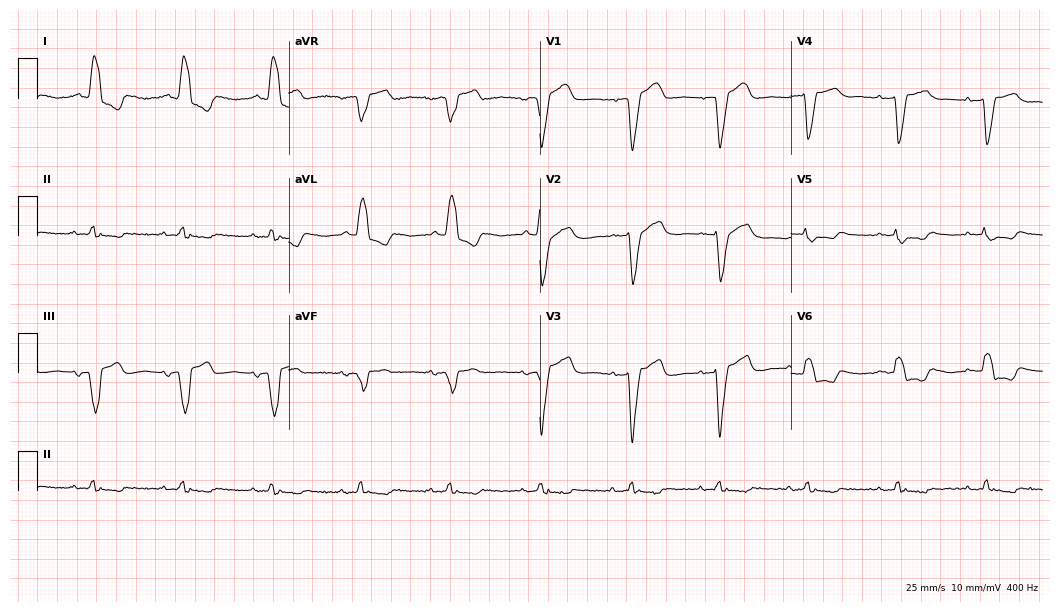
12-lead ECG from a male patient, 80 years old. Findings include left bundle branch block (LBBB).